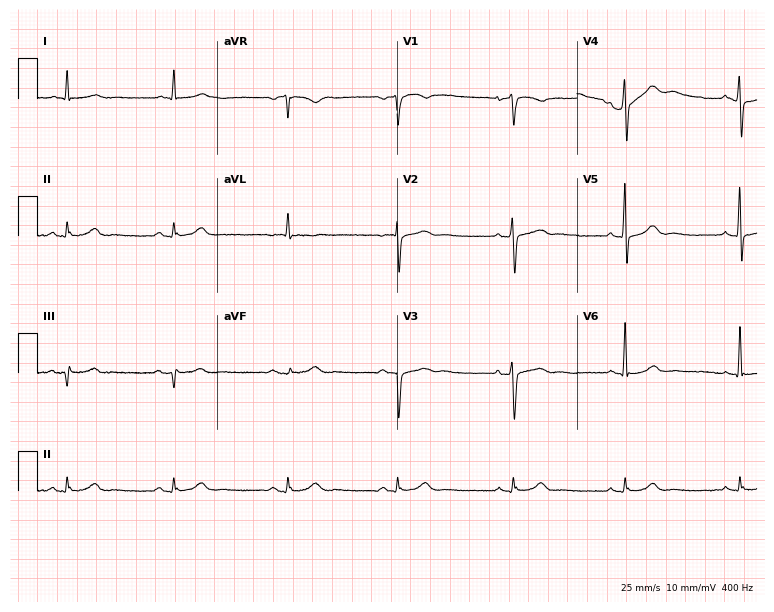
Resting 12-lead electrocardiogram (7.3-second recording at 400 Hz). Patient: a male, 65 years old. None of these six findings is recorded: first-degree AV block, right bundle branch block (RBBB), left bundle branch block (LBBB), sinus bradycardia, atrial fibrillation (AF), sinus tachycardia. Other findings, if any, are not listed.